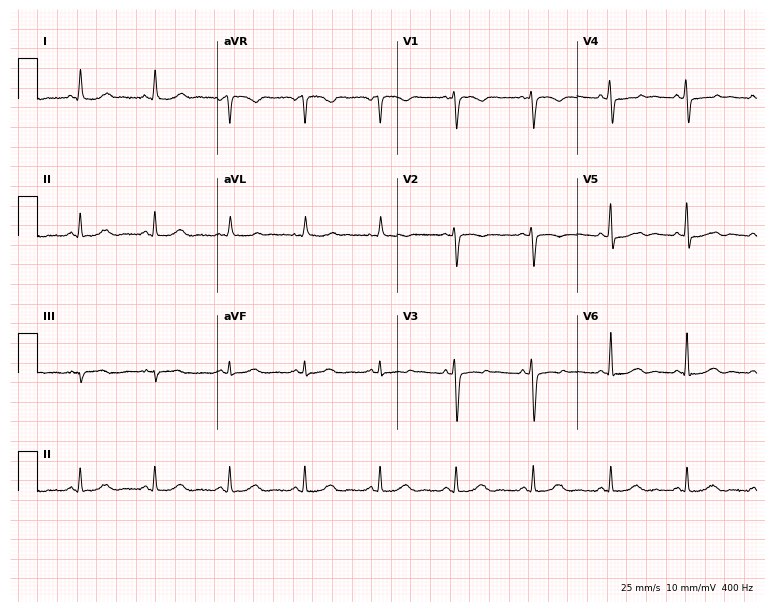
Resting 12-lead electrocardiogram. Patient: a 37-year-old woman. Read as a normal ECG.